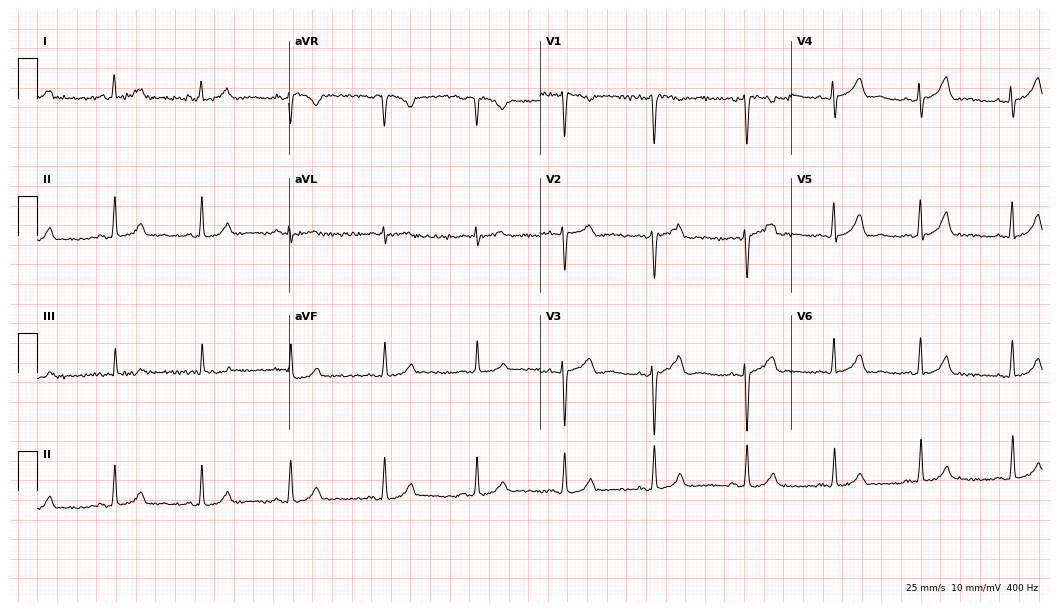
12-lead ECG from a female, 51 years old. Recorded interpretation: within normal limits.